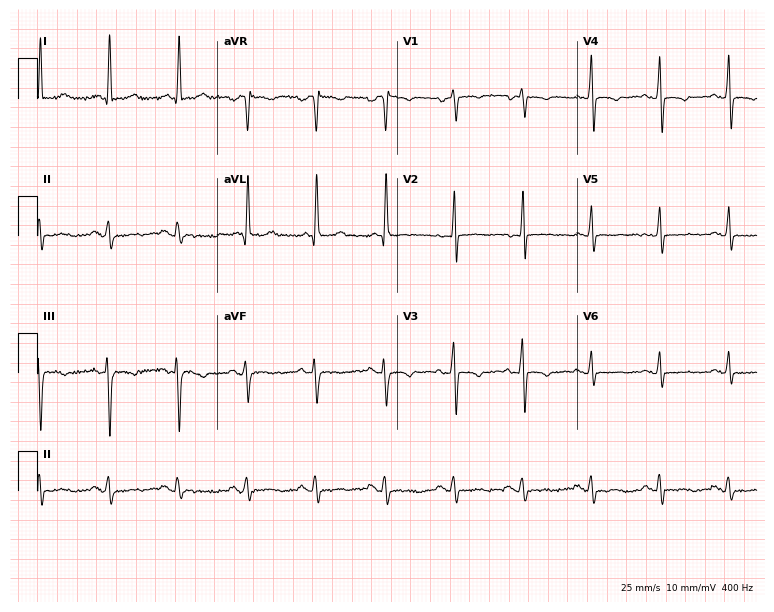
Standard 12-lead ECG recorded from a 78-year-old female. None of these six findings is recorded: first-degree AV block, right bundle branch block, left bundle branch block, sinus bradycardia, atrial fibrillation, sinus tachycardia. Other findings, if any, are not listed.